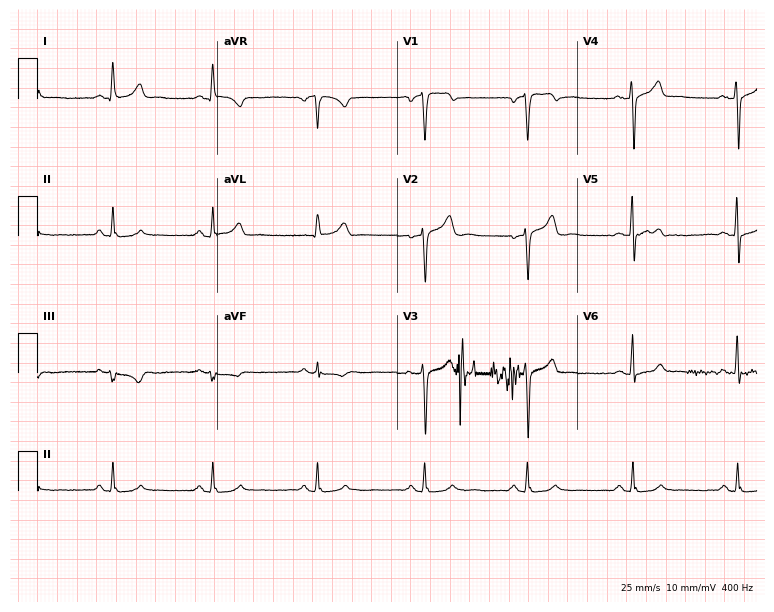
Resting 12-lead electrocardiogram (7.3-second recording at 400 Hz). Patient: a man, 58 years old. Read as a normal ECG.